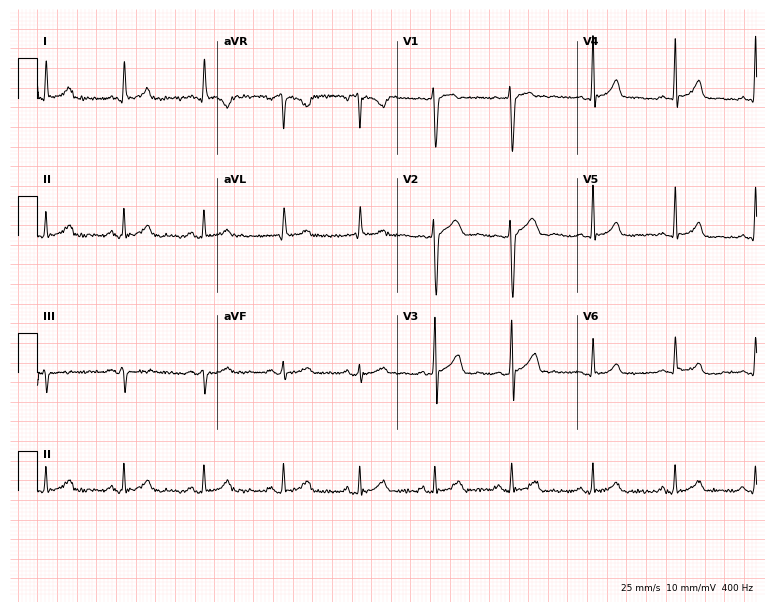
Standard 12-lead ECG recorded from a woman, 32 years old. Read as a normal ECG.